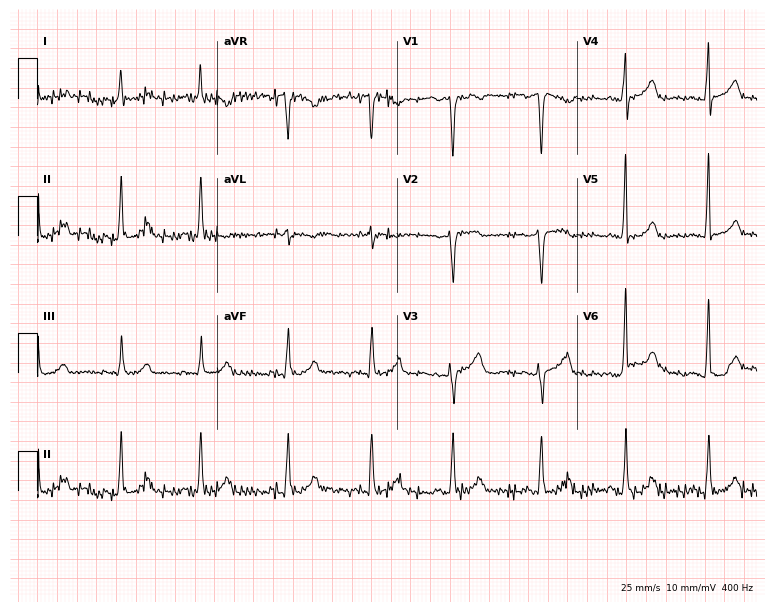
Electrocardiogram, a 65-year-old woman. Overall reading on record: normal ECG.